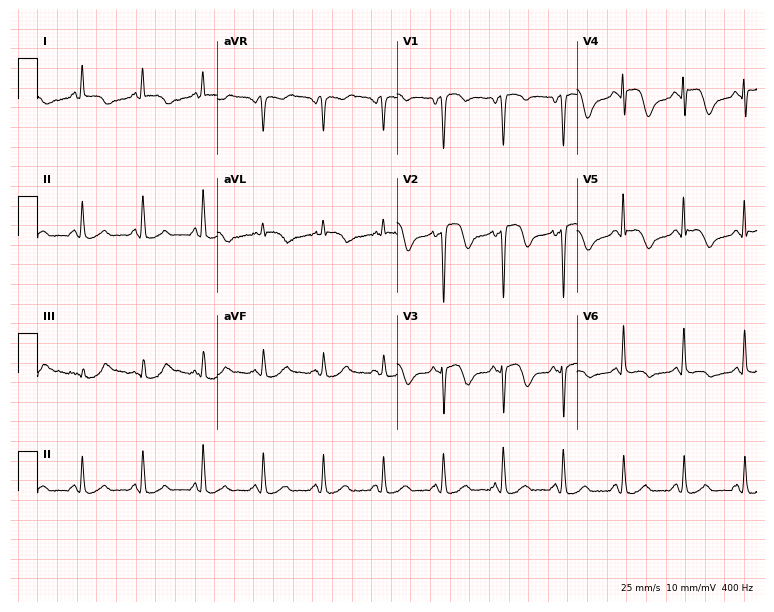
12-lead ECG from a 70-year-old male patient. Screened for six findings — first-degree AV block, right bundle branch block, left bundle branch block, sinus bradycardia, atrial fibrillation, sinus tachycardia — none is recorded. Findings outside these six are not listed.